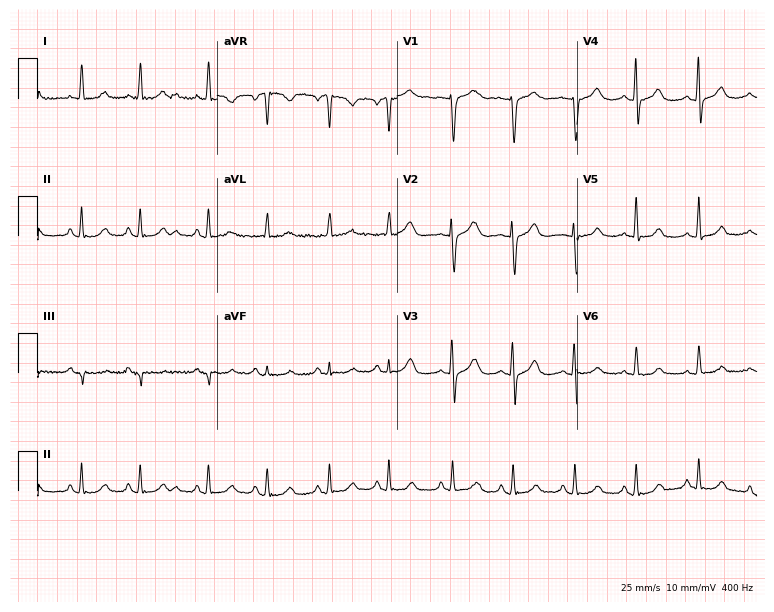
ECG (7.3-second recording at 400 Hz) — a 65-year-old woman. Screened for six findings — first-degree AV block, right bundle branch block, left bundle branch block, sinus bradycardia, atrial fibrillation, sinus tachycardia — none is recorded. Other findings, if any, are not listed.